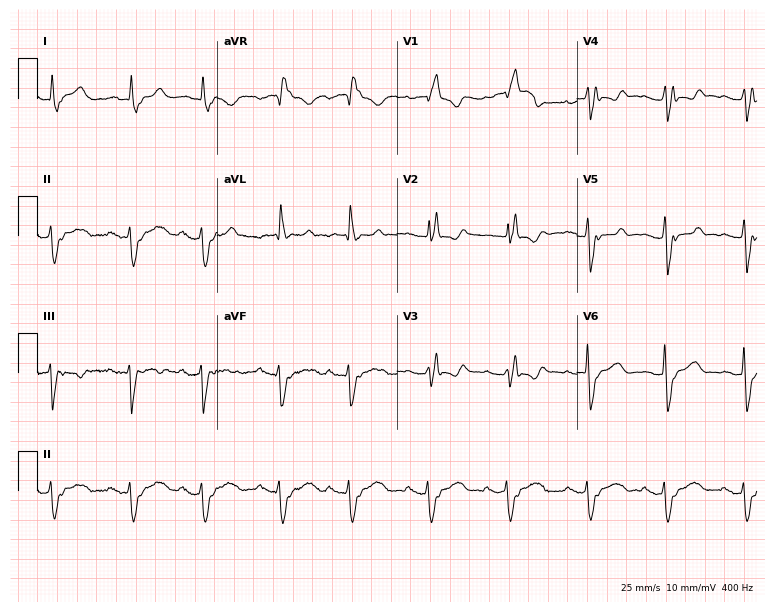
Standard 12-lead ECG recorded from a 72-year-old woman (7.3-second recording at 400 Hz). The tracing shows first-degree AV block, right bundle branch block (RBBB).